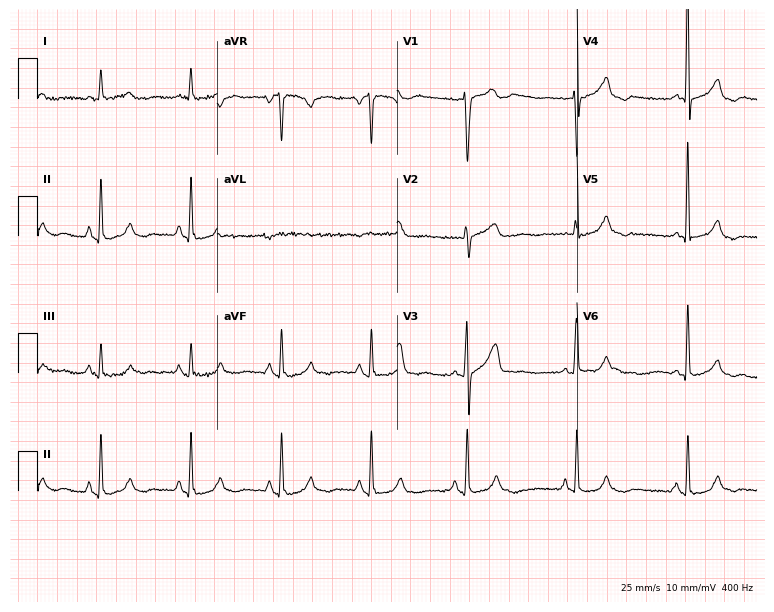
Standard 12-lead ECG recorded from a 77-year-old man (7.3-second recording at 400 Hz). None of these six findings is recorded: first-degree AV block, right bundle branch block, left bundle branch block, sinus bradycardia, atrial fibrillation, sinus tachycardia. Only these six findings were labelled.